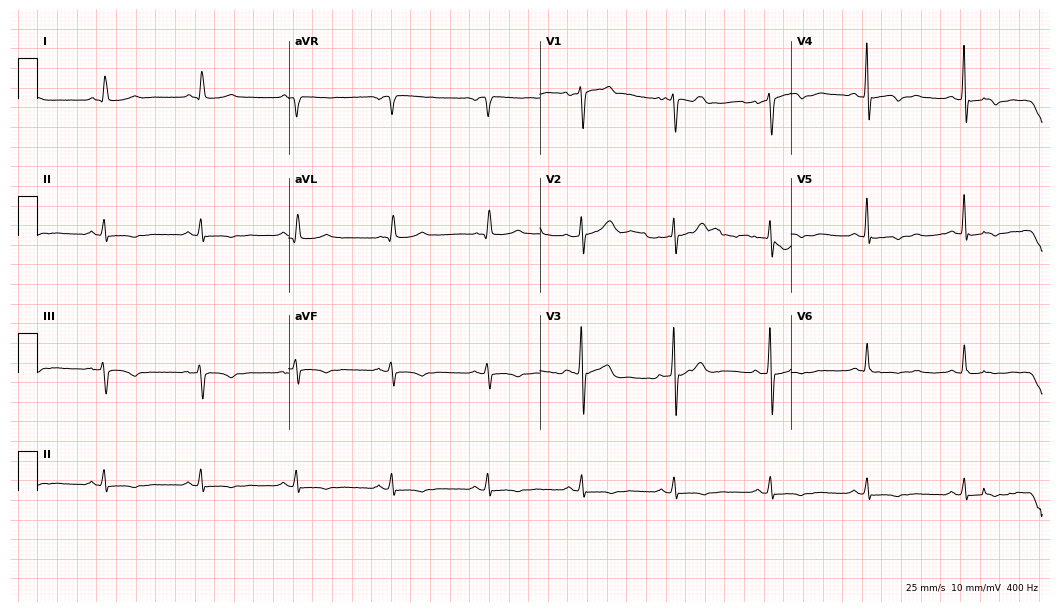
12-lead ECG from a male, 70 years old. Screened for six findings — first-degree AV block, right bundle branch block, left bundle branch block, sinus bradycardia, atrial fibrillation, sinus tachycardia — none is recorded. Other findings, if any, are not listed.